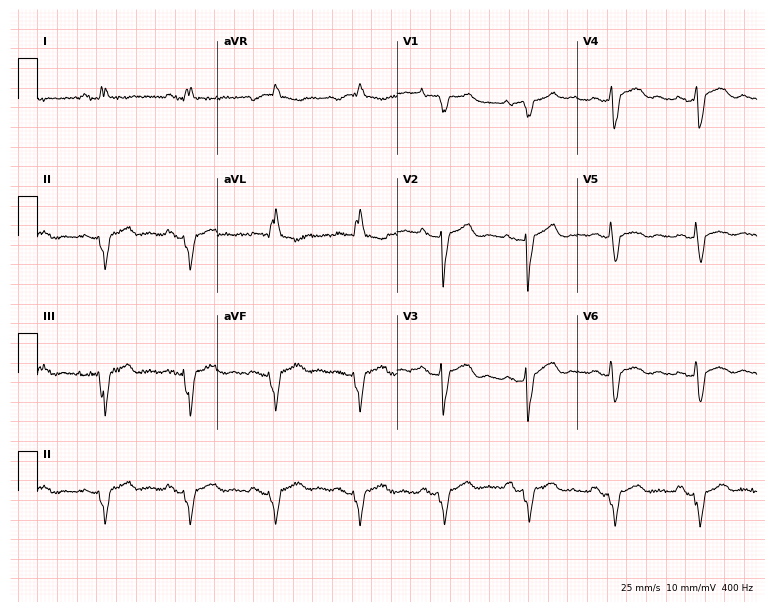
Electrocardiogram (7.3-second recording at 400 Hz), a female, 48 years old. Of the six screened findings (first-degree AV block, right bundle branch block, left bundle branch block, sinus bradycardia, atrial fibrillation, sinus tachycardia), none is recorded.